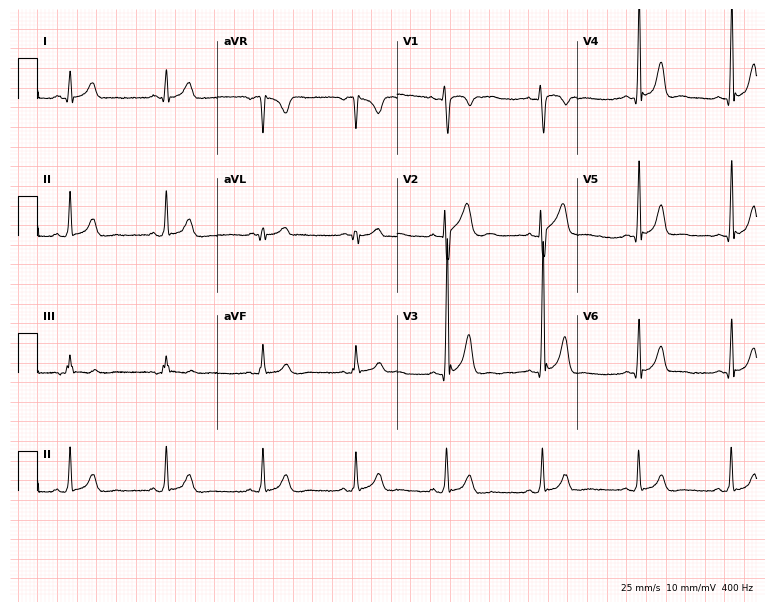
12-lead ECG (7.3-second recording at 400 Hz) from a male patient, 27 years old. Screened for six findings — first-degree AV block, right bundle branch block, left bundle branch block, sinus bradycardia, atrial fibrillation, sinus tachycardia — none is recorded. Only these six findings were labelled.